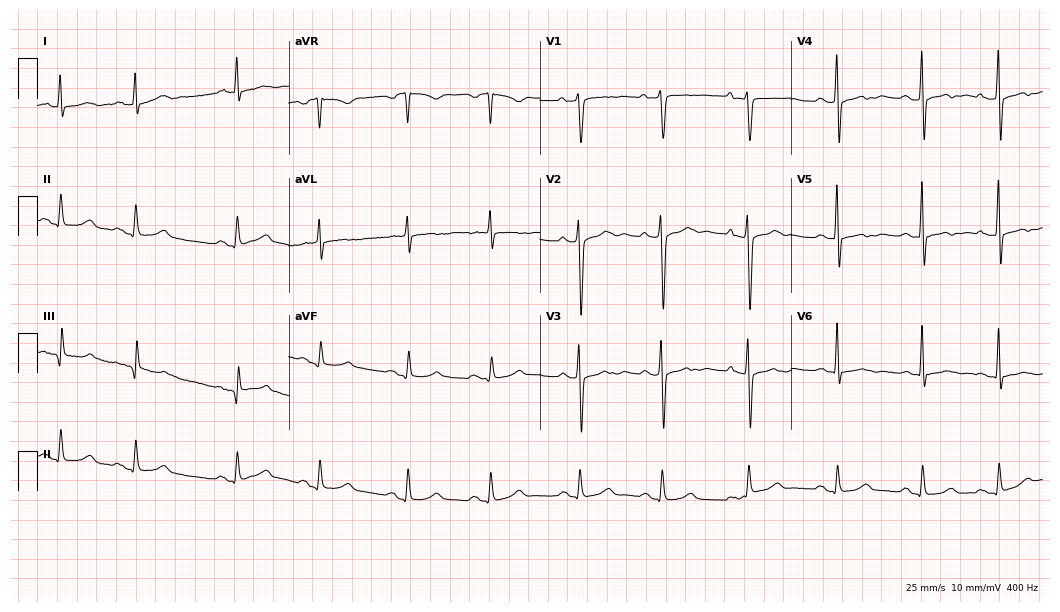
Electrocardiogram (10.2-second recording at 400 Hz), a man, 81 years old. Of the six screened findings (first-degree AV block, right bundle branch block, left bundle branch block, sinus bradycardia, atrial fibrillation, sinus tachycardia), none is recorded.